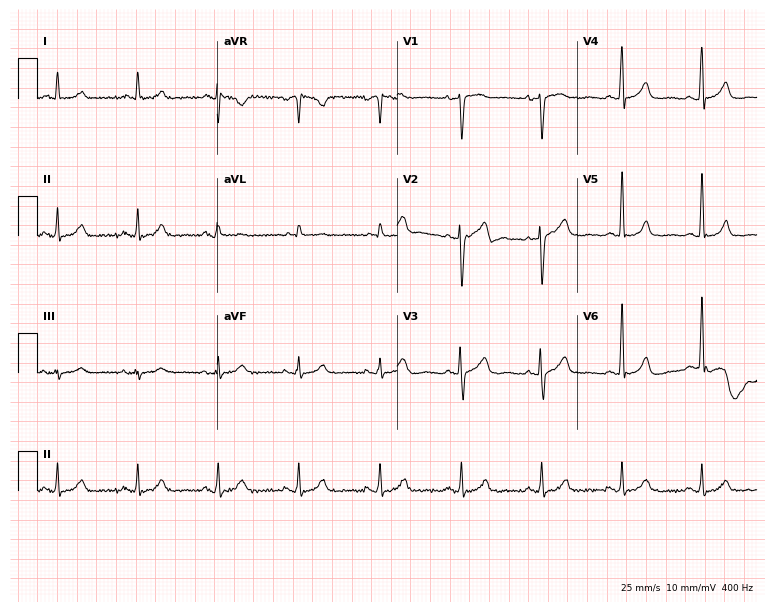
Standard 12-lead ECG recorded from a man, 54 years old (7.3-second recording at 400 Hz). Read as a normal ECG.